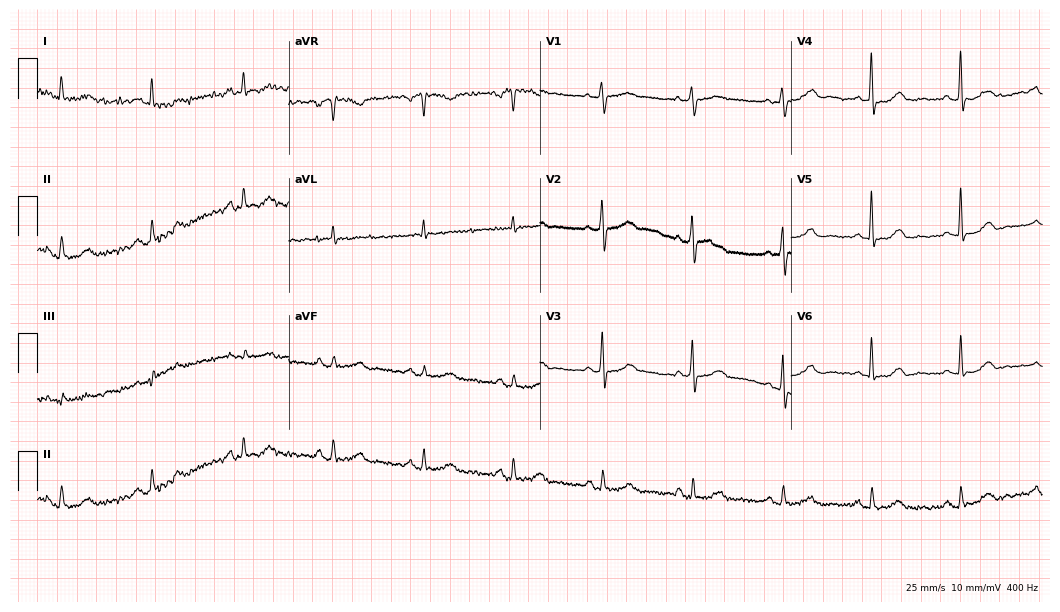
Resting 12-lead electrocardiogram. Patient: a female, 80 years old. Read as a normal ECG.